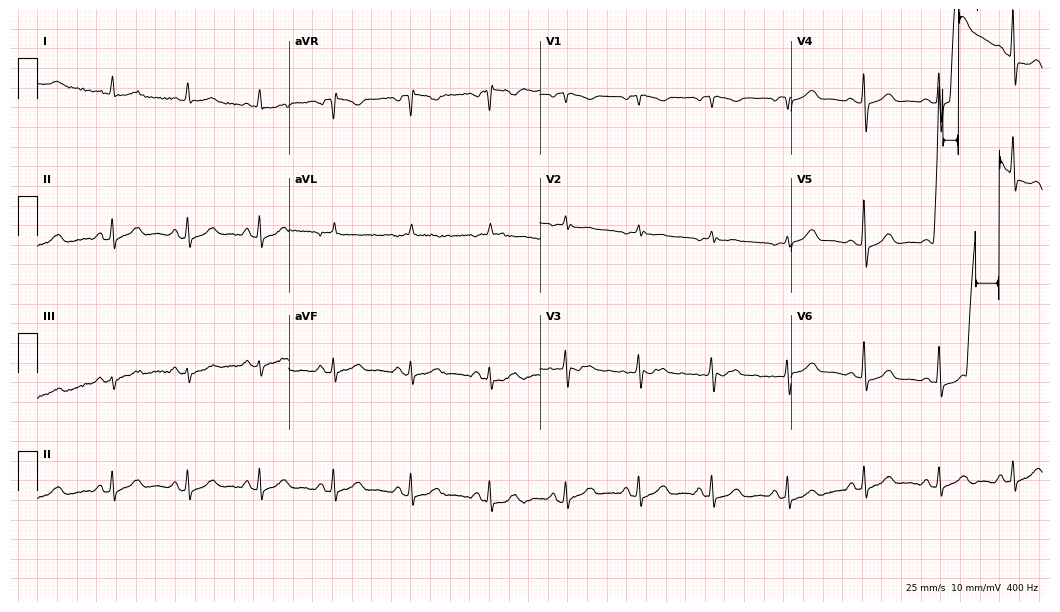
Standard 12-lead ECG recorded from a woman, 57 years old (10.2-second recording at 400 Hz). Read as a normal ECG.